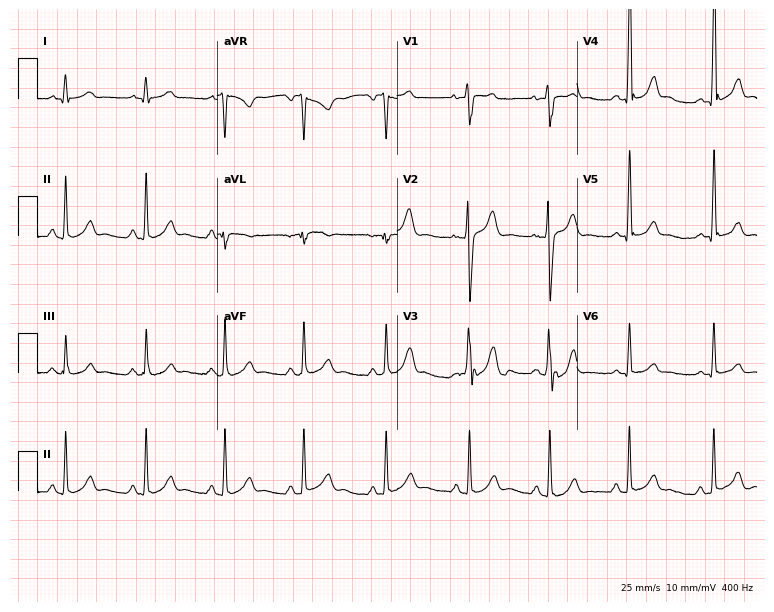
12-lead ECG from a male patient, 20 years old. Screened for six findings — first-degree AV block, right bundle branch block (RBBB), left bundle branch block (LBBB), sinus bradycardia, atrial fibrillation (AF), sinus tachycardia — none is recorded. Other findings, if any, are not listed.